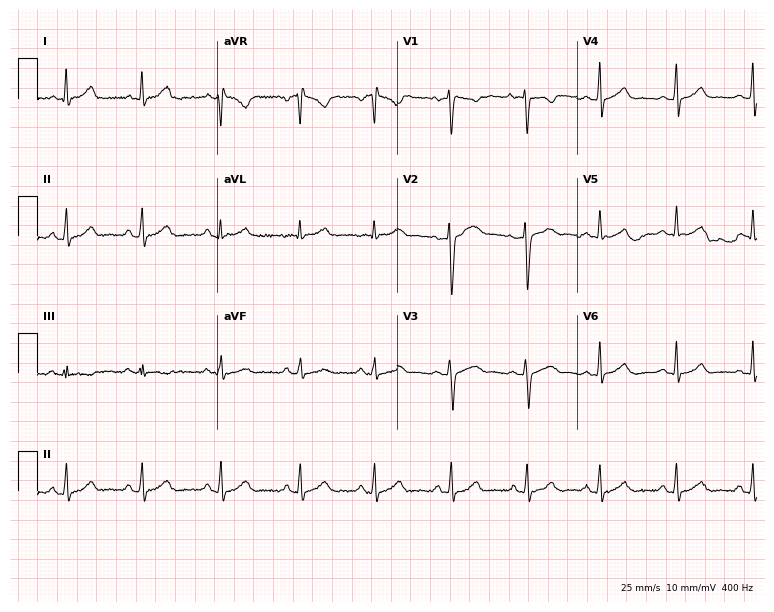
Resting 12-lead electrocardiogram. Patient: a 26-year-old woman. Read as a normal ECG.